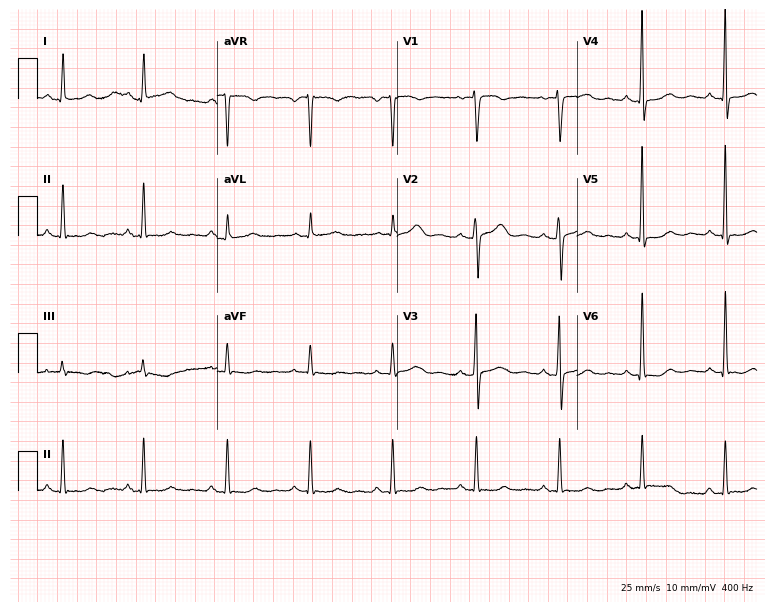
Resting 12-lead electrocardiogram. Patient: a 38-year-old female. Read as a normal ECG.